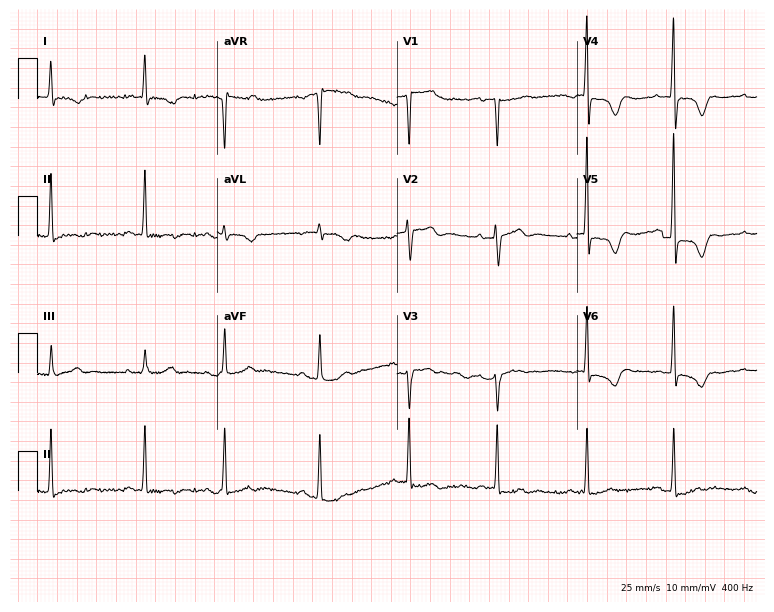
Electrocardiogram (7.3-second recording at 400 Hz), a woman, 81 years old. Of the six screened findings (first-degree AV block, right bundle branch block (RBBB), left bundle branch block (LBBB), sinus bradycardia, atrial fibrillation (AF), sinus tachycardia), none is recorded. Findings outside these six are not listed.